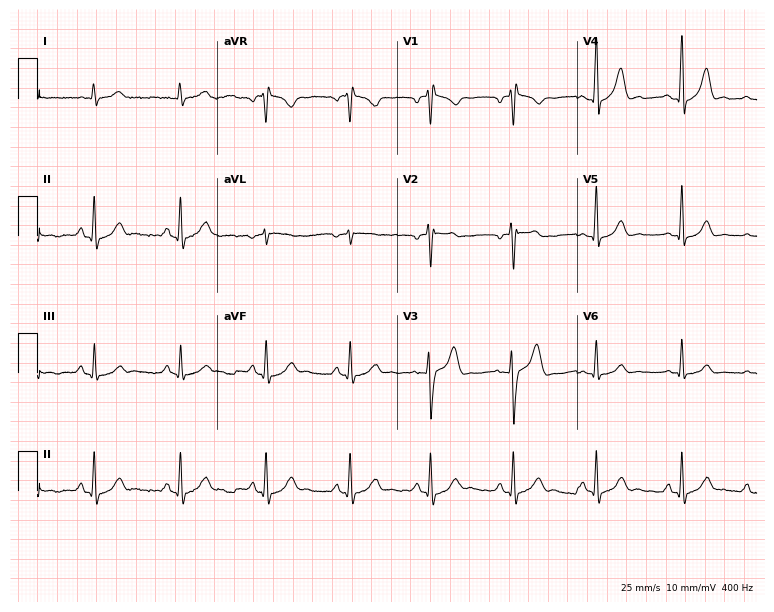
Standard 12-lead ECG recorded from a man, 30 years old (7.3-second recording at 400 Hz). Read as a normal ECG.